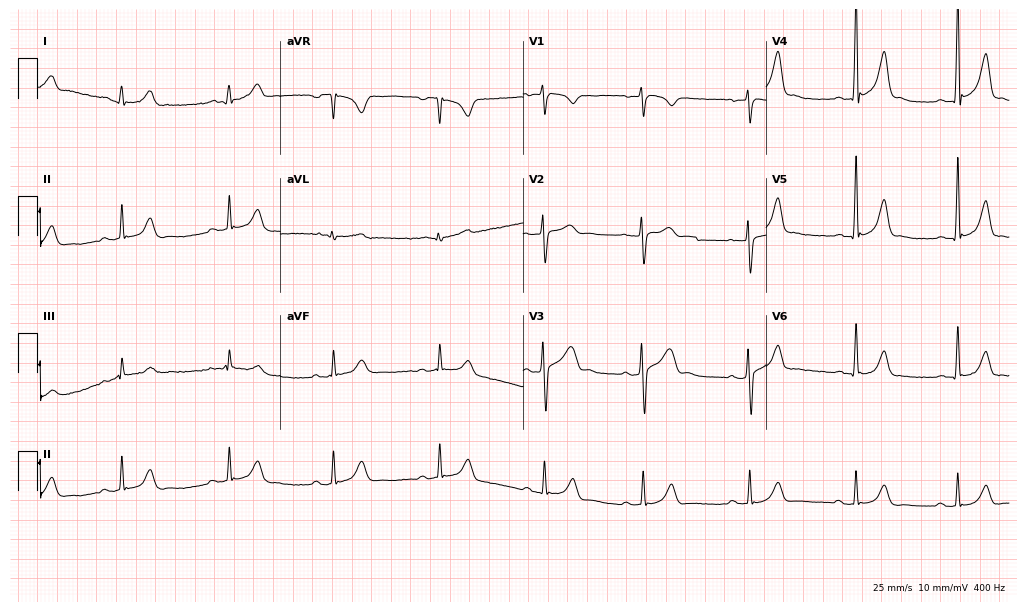
Resting 12-lead electrocardiogram (9.9-second recording at 400 Hz). Patient: a male, 20 years old. Read as a normal ECG.